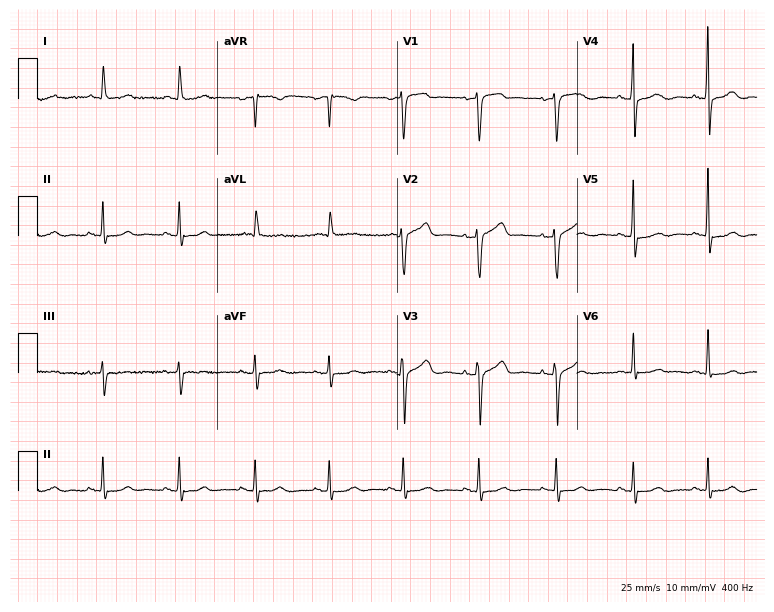
Electrocardiogram (7.3-second recording at 400 Hz), a 77-year-old male patient. Of the six screened findings (first-degree AV block, right bundle branch block, left bundle branch block, sinus bradycardia, atrial fibrillation, sinus tachycardia), none is recorded. Findings outside these six are not listed.